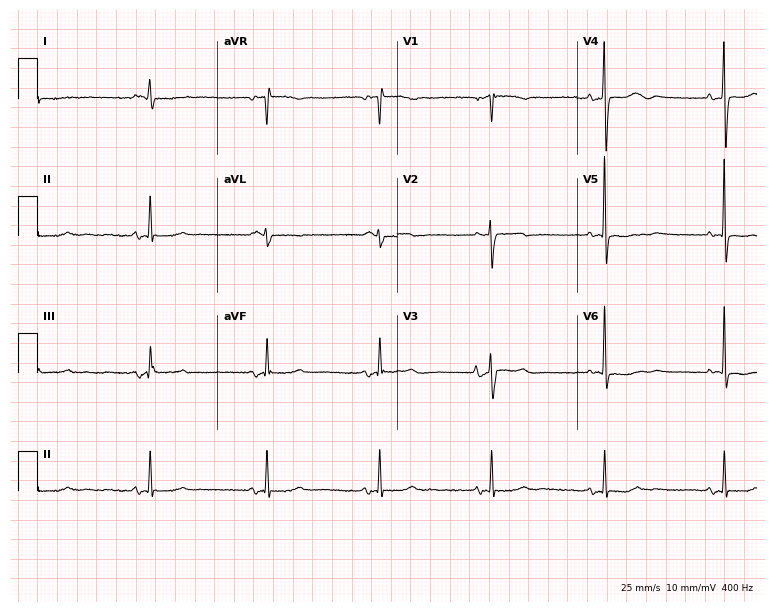
Standard 12-lead ECG recorded from a woman, 72 years old. None of these six findings is recorded: first-degree AV block, right bundle branch block (RBBB), left bundle branch block (LBBB), sinus bradycardia, atrial fibrillation (AF), sinus tachycardia.